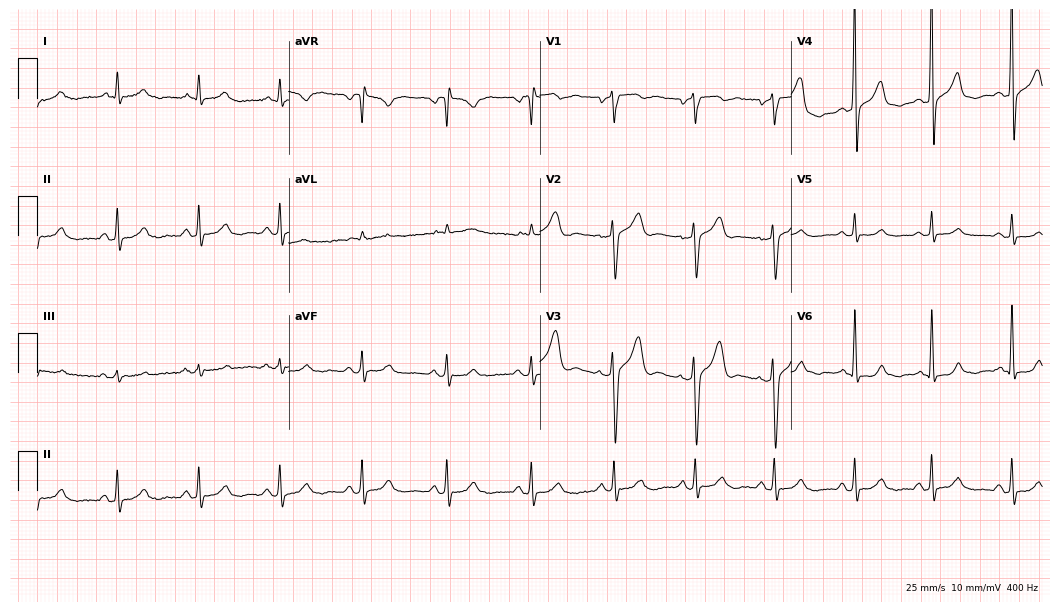
Resting 12-lead electrocardiogram. Patient: a male, 68 years old. None of these six findings is recorded: first-degree AV block, right bundle branch block, left bundle branch block, sinus bradycardia, atrial fibrillation, sinus tachycardia. Findings outside these six are not listed.